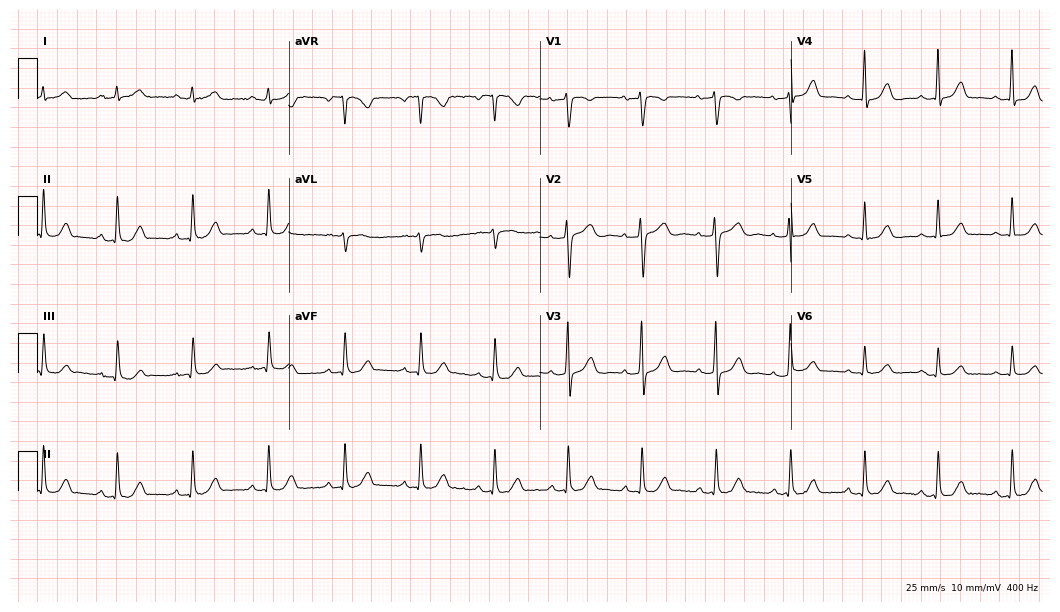
ECG (10.2-second recording at 400 Hz) — a female, 46 years old. Labelled as a normal ECG.